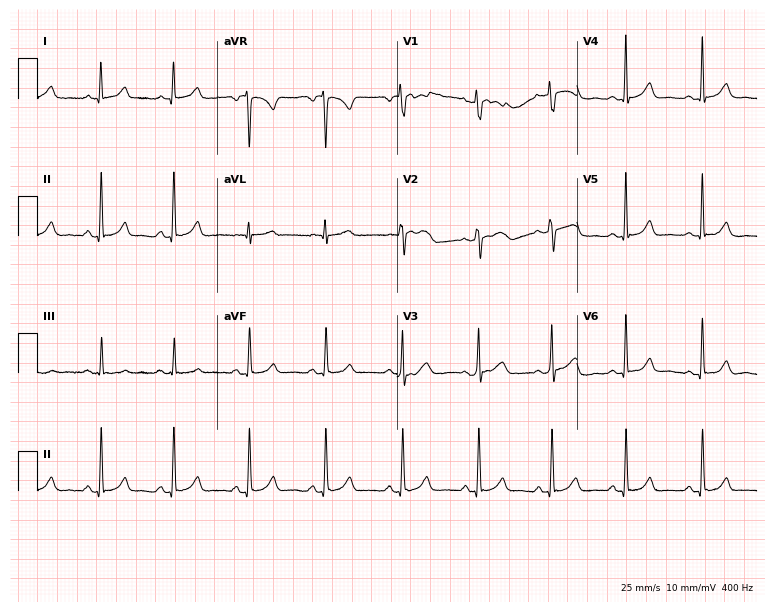
12-lead ECG from a female, 29 years old. Recorded interpretation: within normal limits.